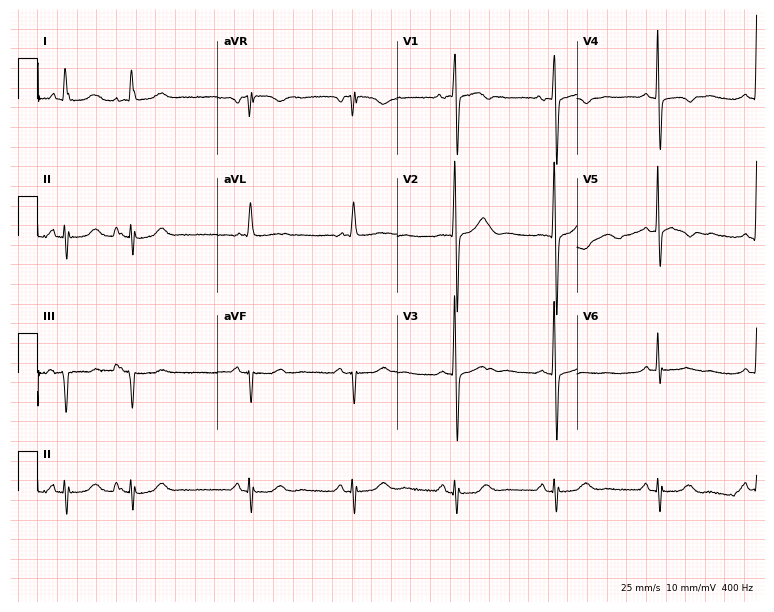
Resting 12-lead electrocardiogram (7.3-second recording at 400 Hz). Patient: a female, 79 years old. None of these six findings is recorded: first-degree AV block, right bundle branch block (RBBB), left bundle branch block (LBBB), sinus bradycardia, atrial fibrillation (AF), sinus tachycardia. Only these six findings were labelled.